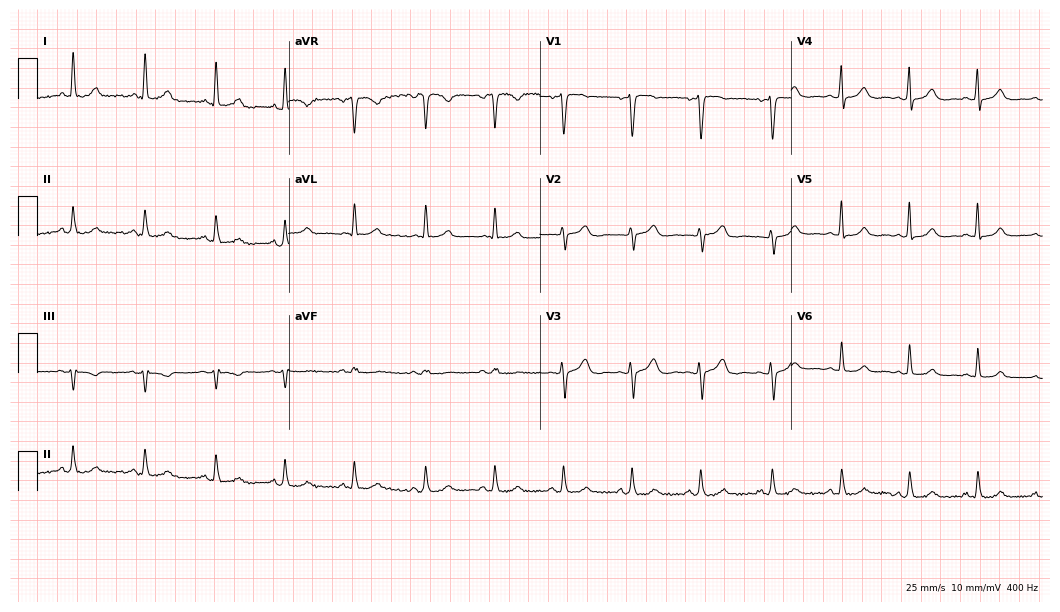
Resting 12-lead electrocardiogram. Patient: a woman, 50 years old. None of these six findings is recorded: first-degree AV block, right bundle branch block (RBBB), left bundle branch block (LBBB), sinus bradycardia, atrial fibrillation (AF), sinus tachycardia.